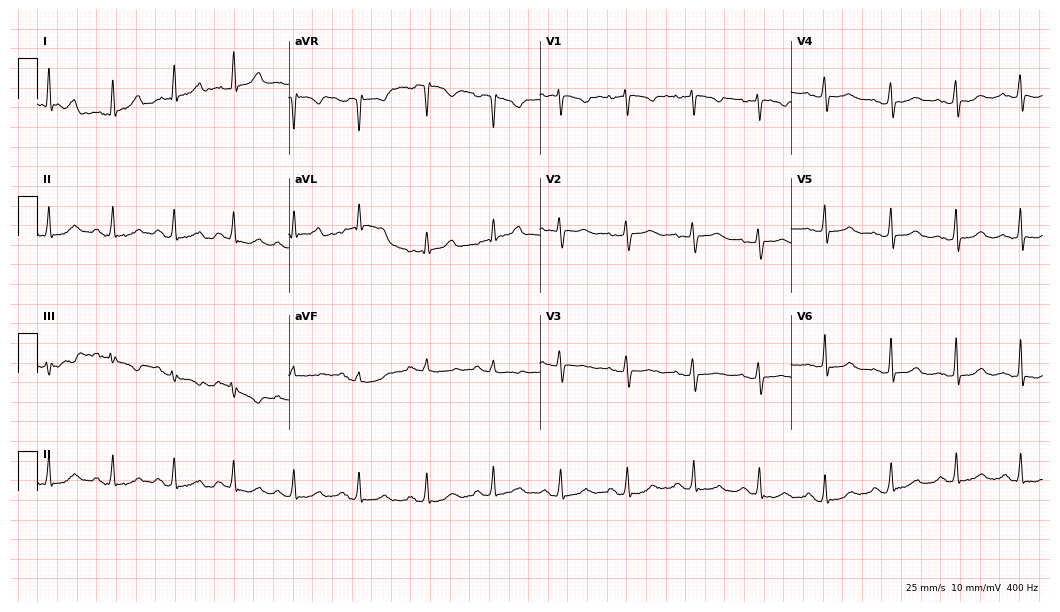
ECG — a 43-year-old female. Labelled as a normal ECG.